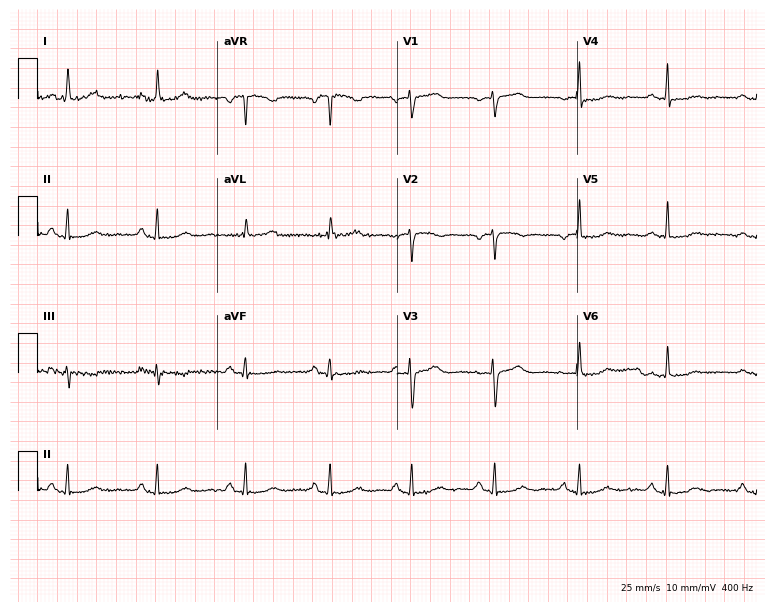
ECG — a female, 63 years old. Labelled as a normal ECG.